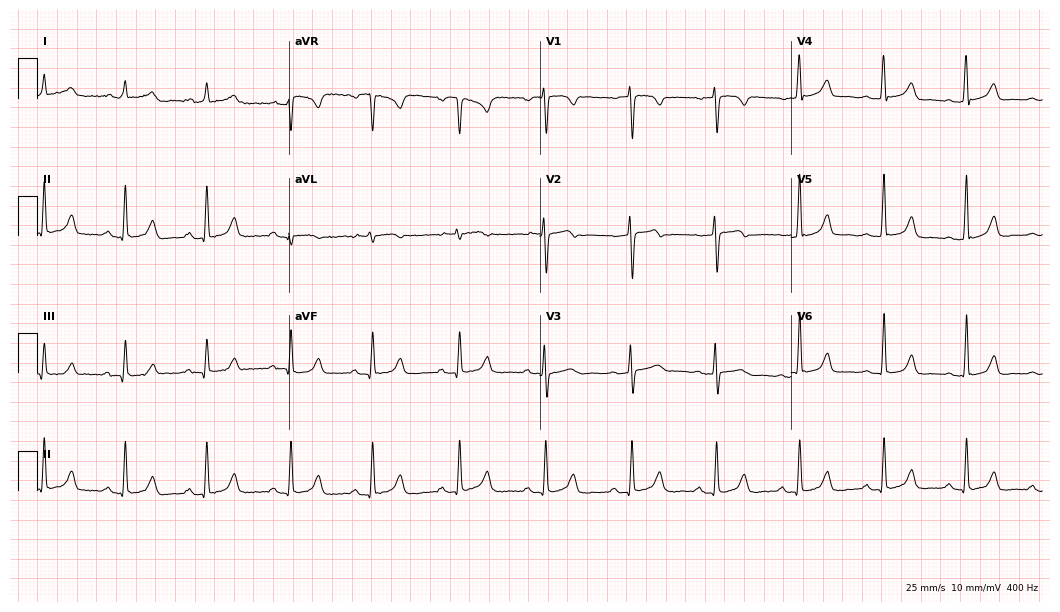
12-lead ECG from a 53-year-old woman. Labelled as a normal ECG.